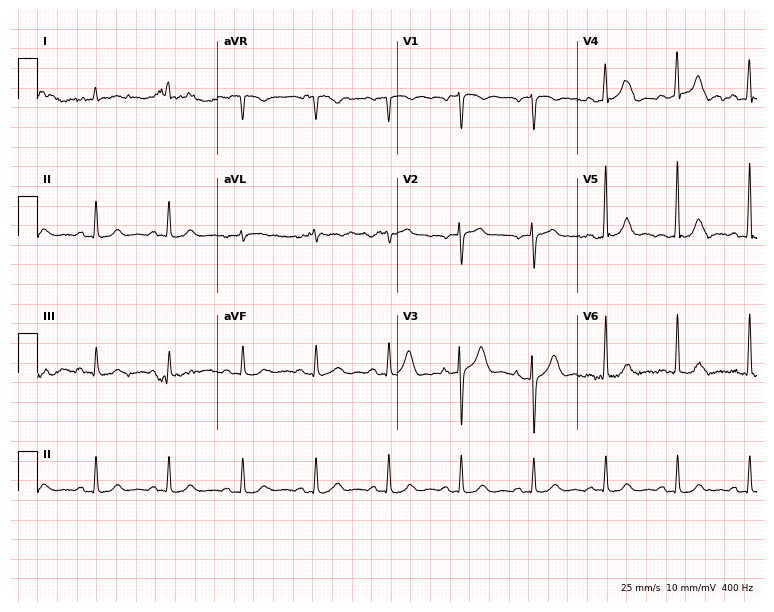
Electrocardiogram (7.3-second recording at 400 Hz), a male, 80 years old. Overall reading on record: normal ECG.